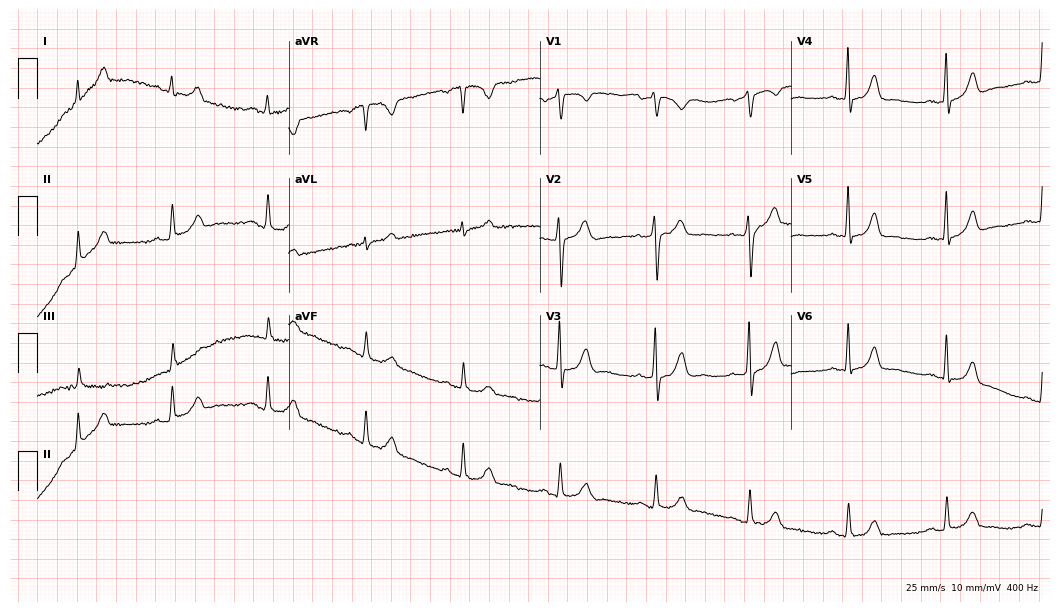
12-lead ECG from a woman, 45 years old (10.2-second recording at 400 Hz). Recorded interpretation: within normal limits.